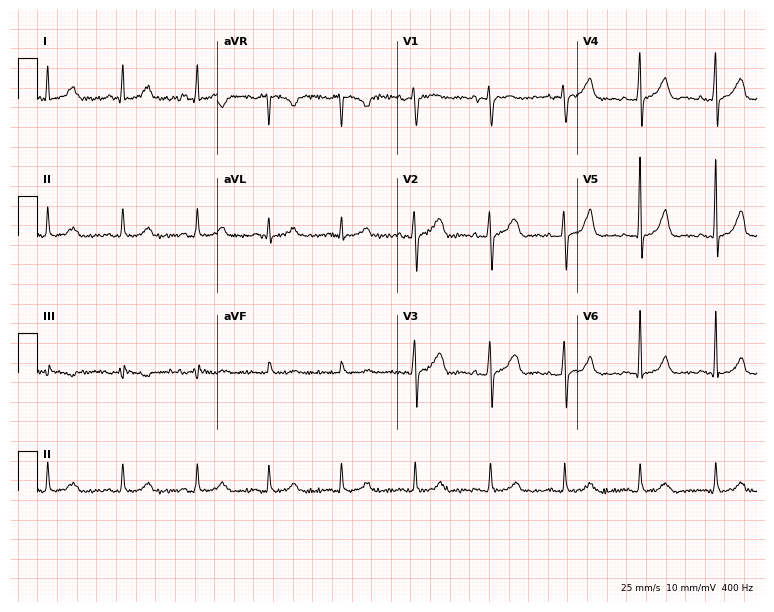
ECG — a 41-year-old female patient. Screened for six findings — first-degree AV block, right bundle branch block (RBBB), left bundle branch block (LBBB), sinus bradycardia, atrial fibrillation (AF), sinus tachycardia — none is recorded. Findings outside these six are not listed.